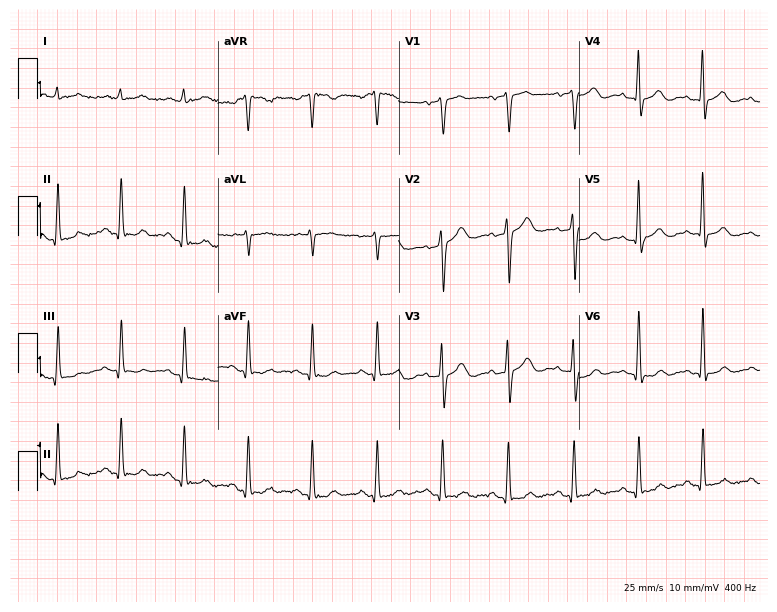
12-lead ECG from a man, 69 years old. Recorded interpretation: within normal limits.